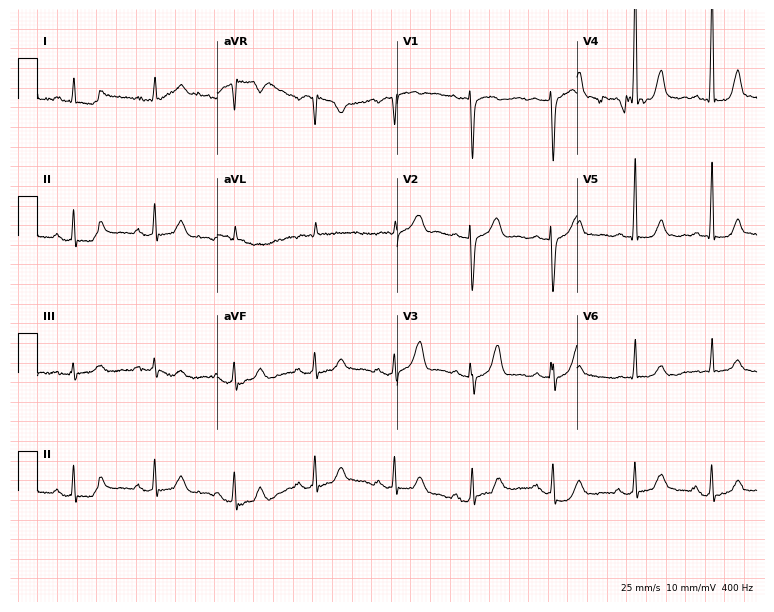
12-lead ECG from a 50-year-old female patient (7.3-second recording at 400 Hz). No first-degree AV block, right bundle branch block, left bundle branch block, sinus bradycardia, atrial fibrillation or sinus tachycardia recorded for this tracing.